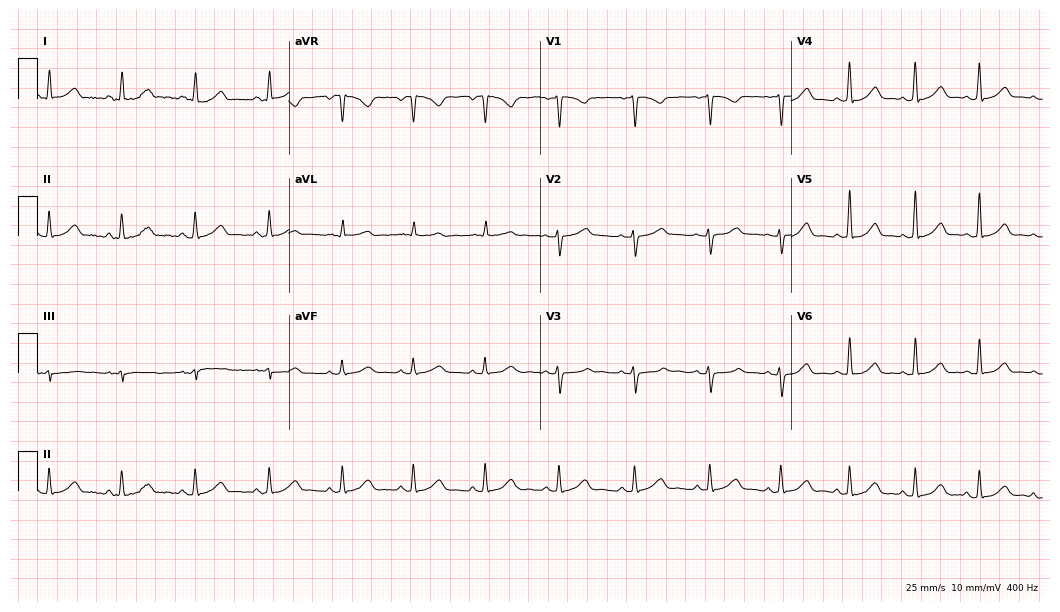
Resting 12-lead electrocardiogram (10.2-second recording at 400 Hz). Patient: a 32-year-old woman. Read as a normal ECG.